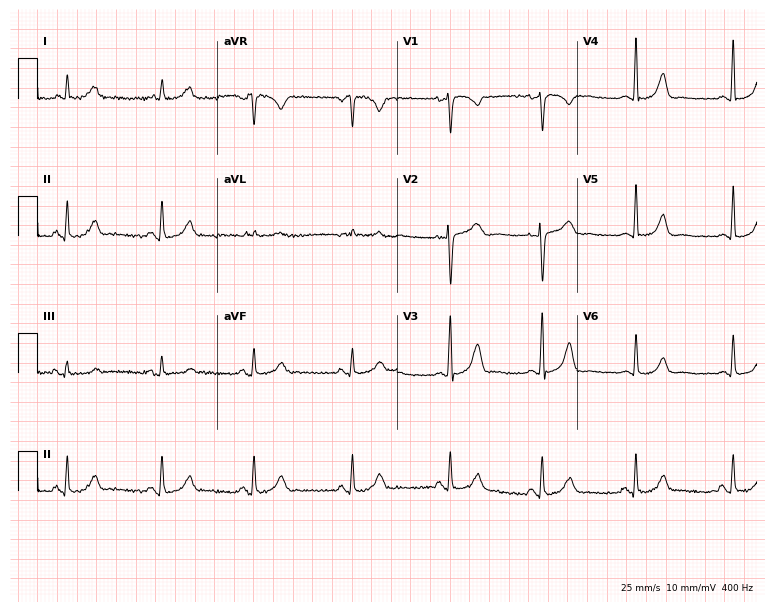
12-lead ECG from a 59-year-old female patient. No first-degree AV block, right bundle branch block, left bundle branch block, sinus bradycardia, atrial fibrillation or sinus tachycardia recorded for this tracing.